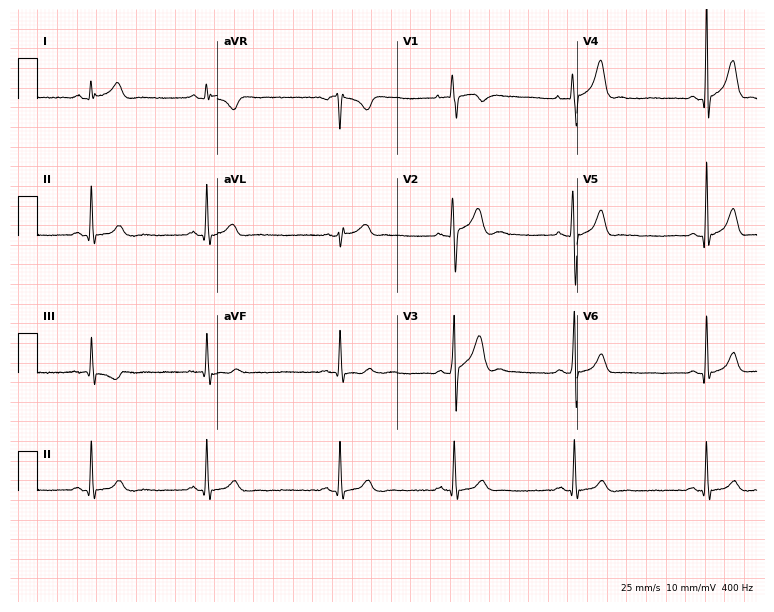
Standard 12-lead ECG recorded from a 21-year-old man (7.3-second recording at 400 Hz). The tracing shows sinus bradycardia (a sinus rate of 50 beats per minute or less).